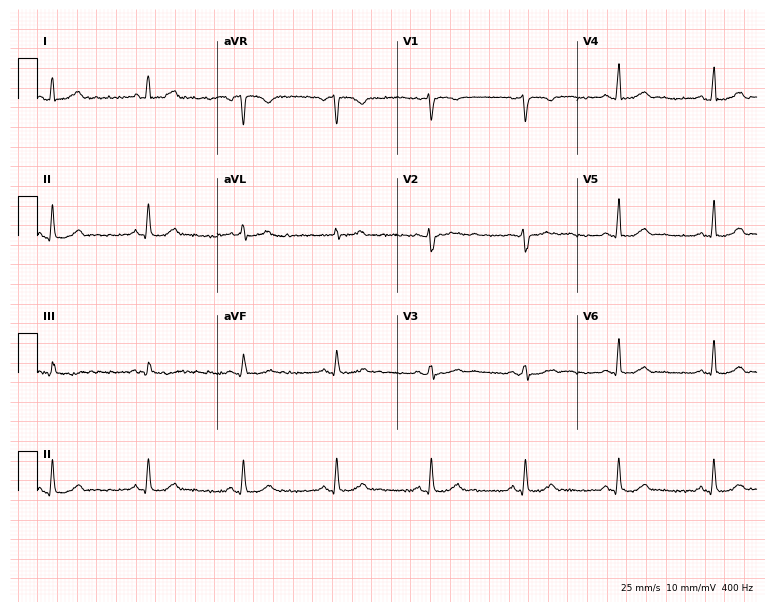
12-lead ECG (7.3-second recording at 400 Hz) from a 59-year-old female. Labelled as a normal ECG.